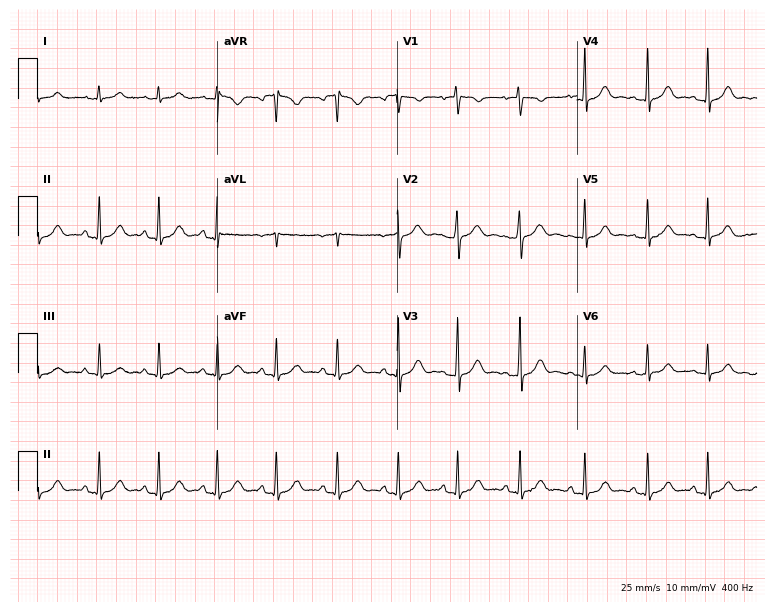
ECG — a 20-year-old woman. Labelled as a normal ECG.